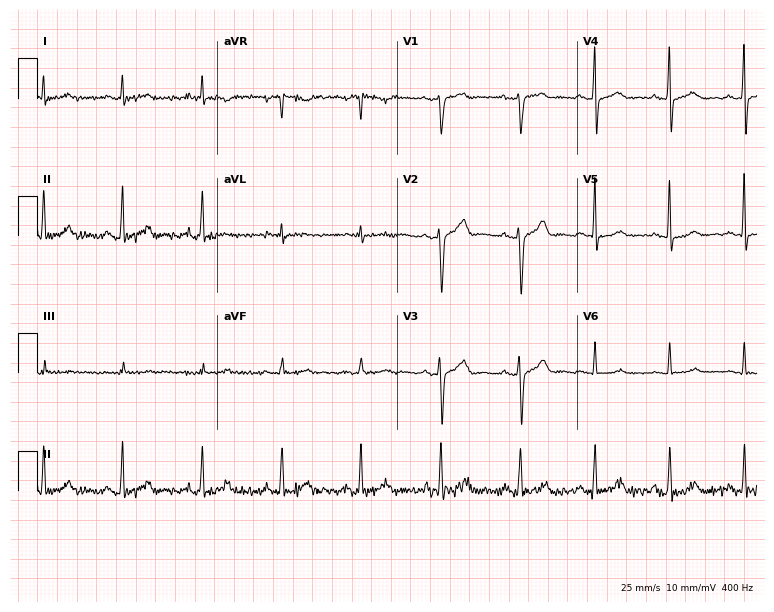
12-lead ECG (7.3-second recording at 400 Hz) from a male patient, 45 years old. Screened for six findings — first-degree AV block, right bundle branch block (RBBB), left bundle branch block (LBBB), sinus bradycardia, atrial fibrillation (AF), sinus tachycardia — none is recorded. Only these six findings were labelled.